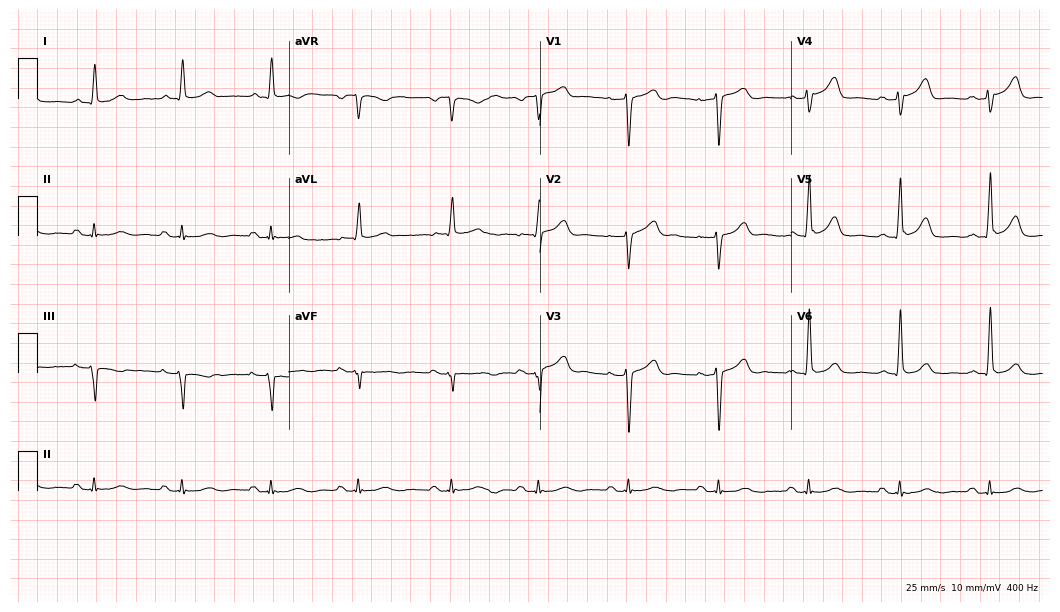
ECG — a male, 73 years old. Labelled as a normal ECG.